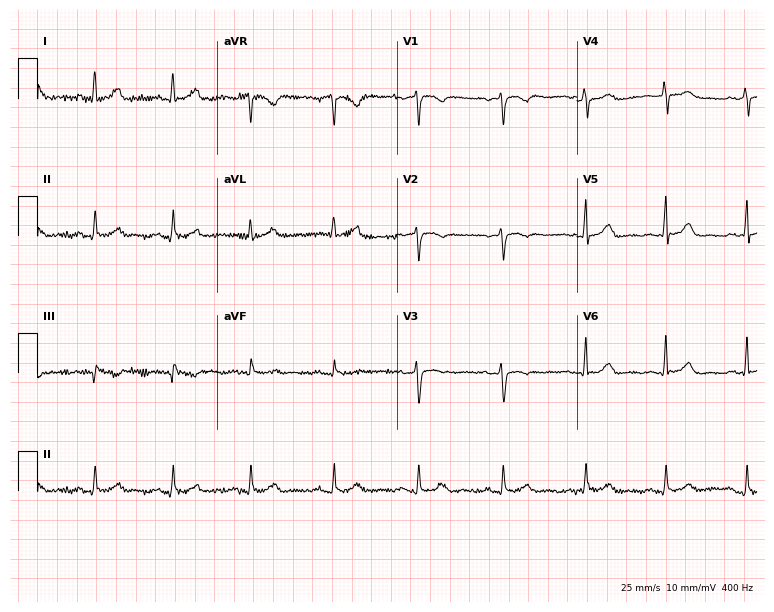
Electrocardiogram, a female patient, 52 years old. Overall reading on record: normal ECG.